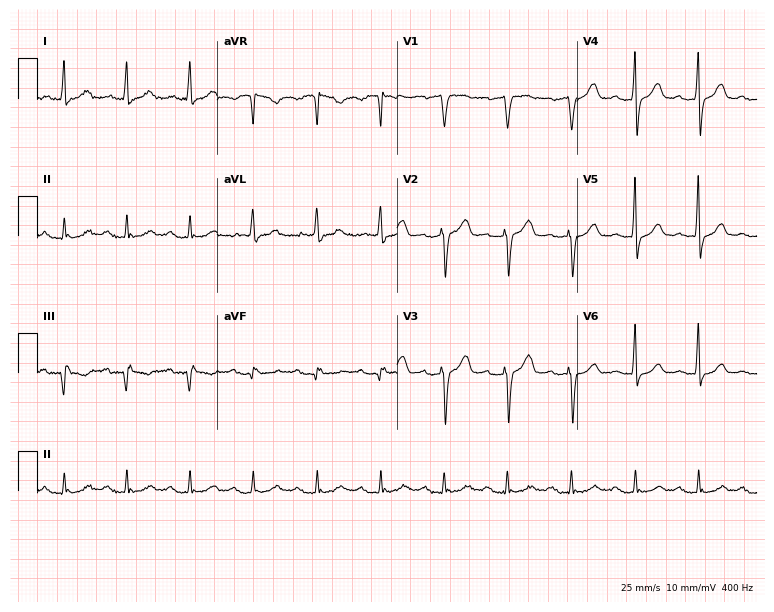
Standard 12-lead ECG recorded from a 76-year-old woman (7.3-second recording at 400 Hz). Read as a normal ECG.